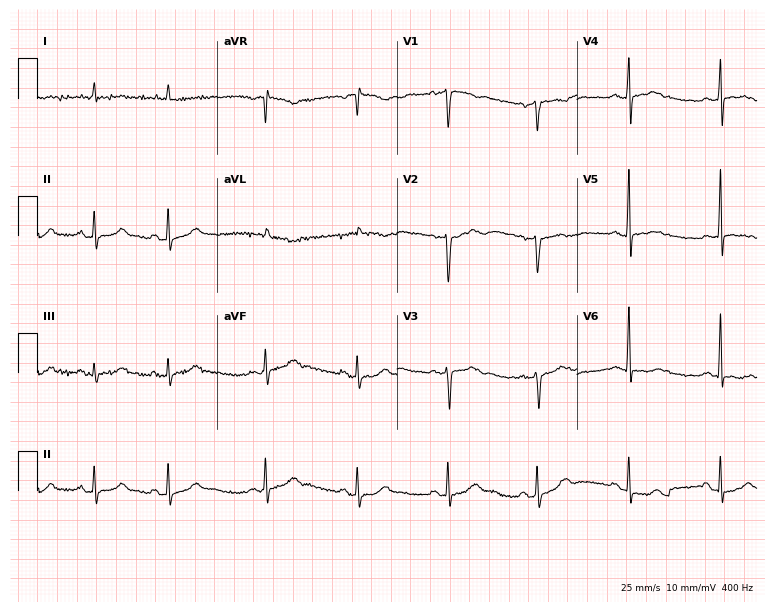
Resting 12-lead electrocardiogram (7.3-second recording at 400 Hz). Patient: a 62-year-old female. None of these six findings is recorded: first-degree AV block, right bundle branch block, left bundle branch block, sinus bradycardia, atrial fibrillation, sinus tachycardia. Only these six findings were labelled.